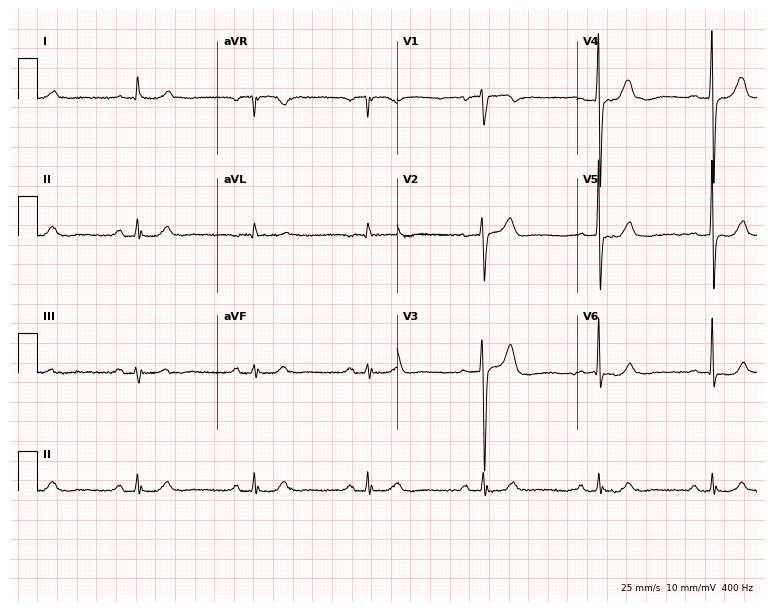
12-lead ECG (7.3-second recording at 400 Hz) from a 72-year-old male patient. Screened for six findings — first-degree AV block, right bundle branch block, left bundle branch block, sinus bradycardia, atrial fibrillation, sinus tachycardia — none is recorded. Only these six findings were labelled.